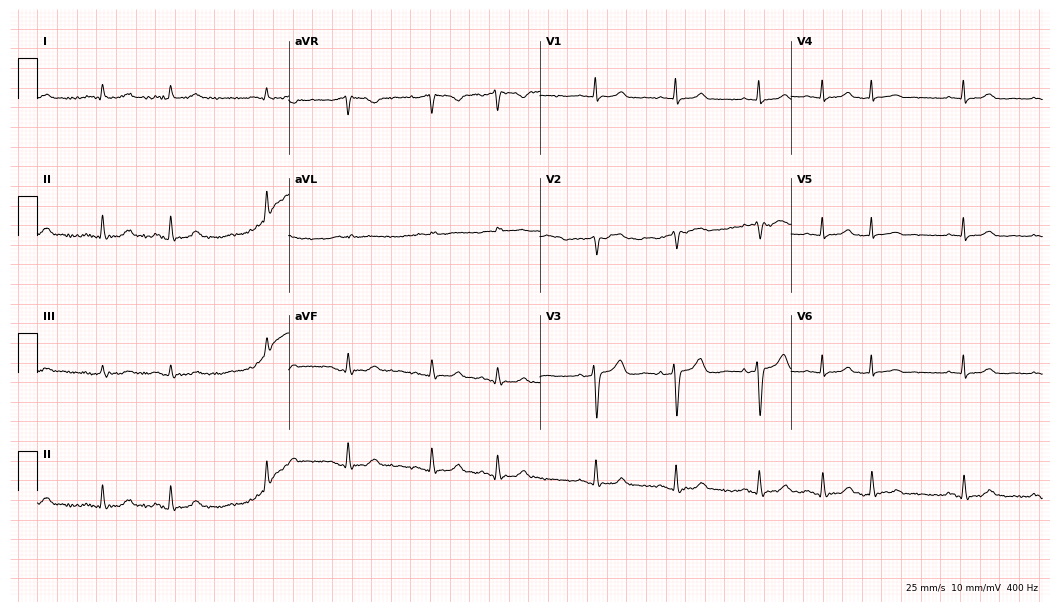
ECG — a male patient, 77 years old. Findings include atrial fibrillation (AF).